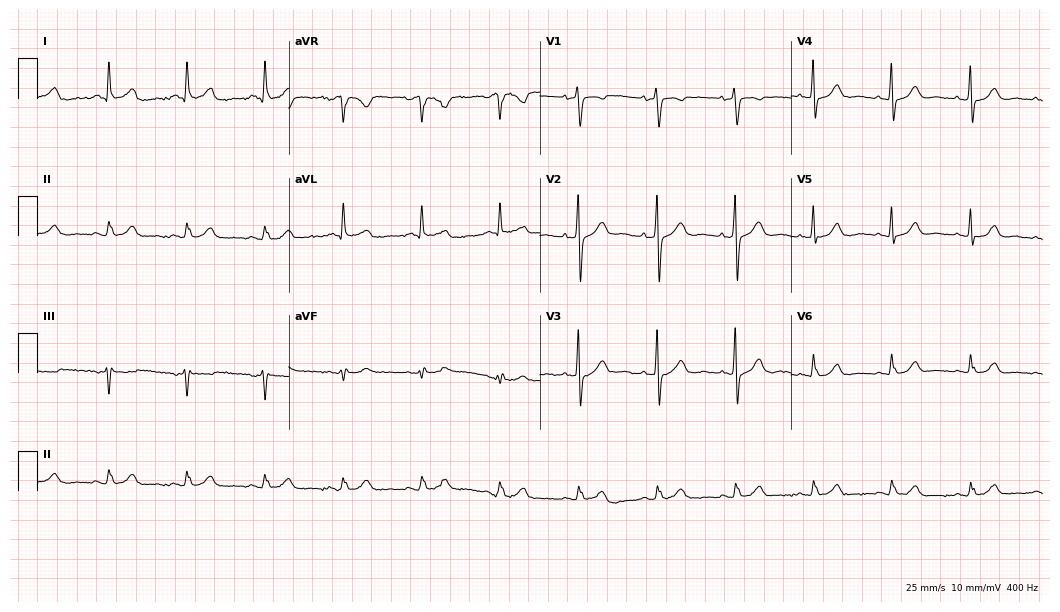
Standard 12-lead ECG recorded from an 85-year-old woman (10.2-second recording at 400 Hz). Read as a normal ECG.